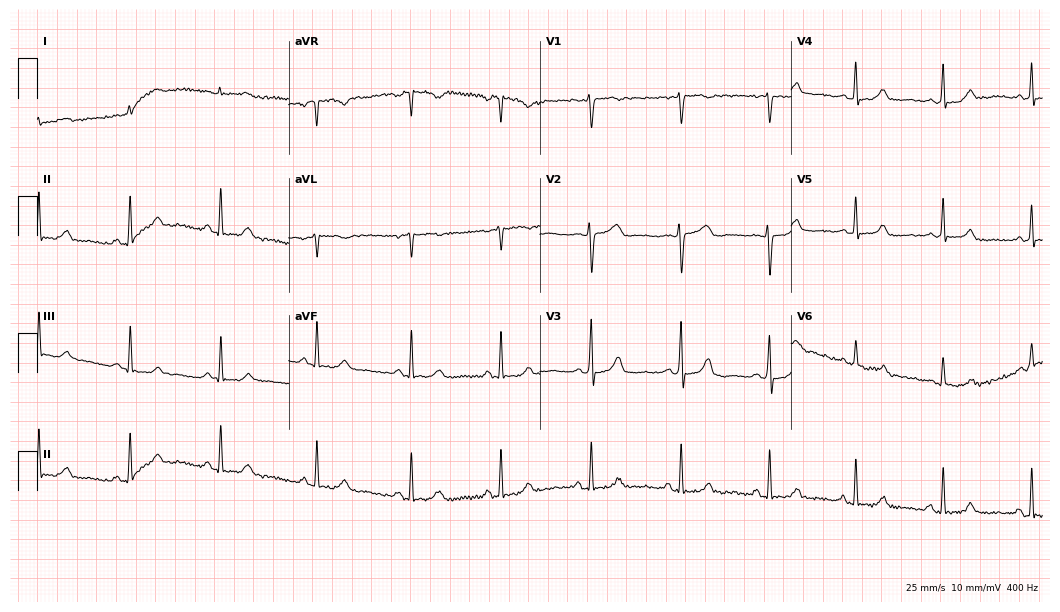
12-lead ECG (10.2-second recording at 400 Hz) from a female patient, 53 years old. Screened for six findings — first-degree AV block, right bundle branch block, left bundle branch block, sinus bradycardia, atrial fibrillation, sinus tachycardia — none is recorded. Only these six findings were labelled.